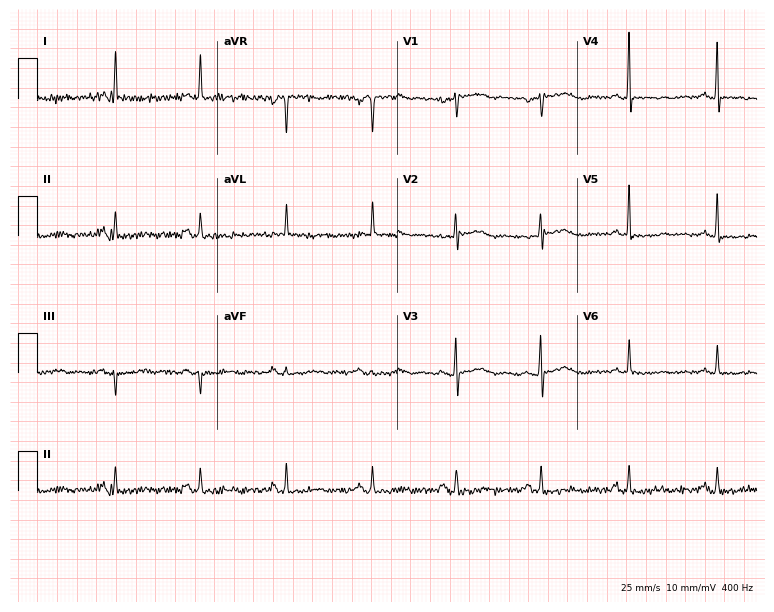
Standard 12-lead ECG recorded from a 71-year-old woman. None of these six findings is recorded: first-degree AV block, right bundle branch block, left bundle branch block, sinus bradycardia, atrial fibrillation, sinus tachycardia.